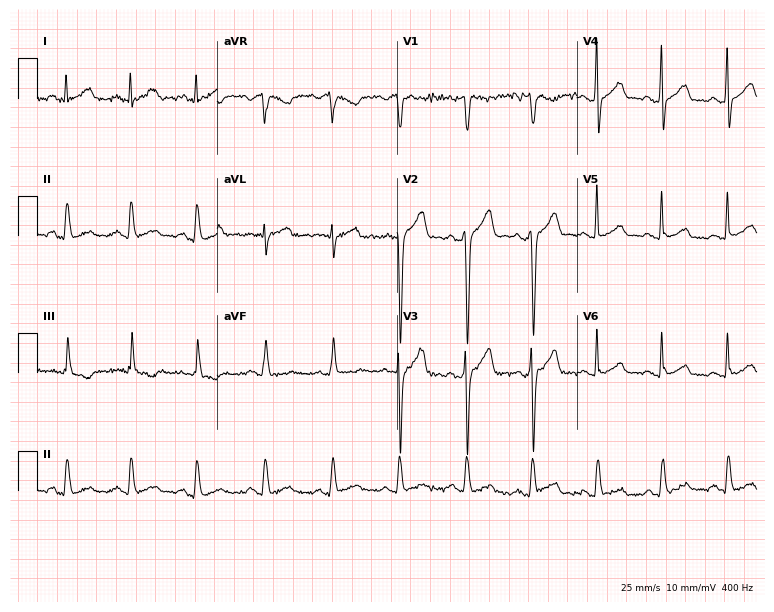
ECG (7.3-second recording at 400 Hz) — a 38-year-old man. Screened for six findings — first-degree AV block, right bundle branch block, left bundle branch block, sinus bradycardia, atrial fibrillation, sinus tachycardia — none is recorded. Other findings, if any, are not listed.